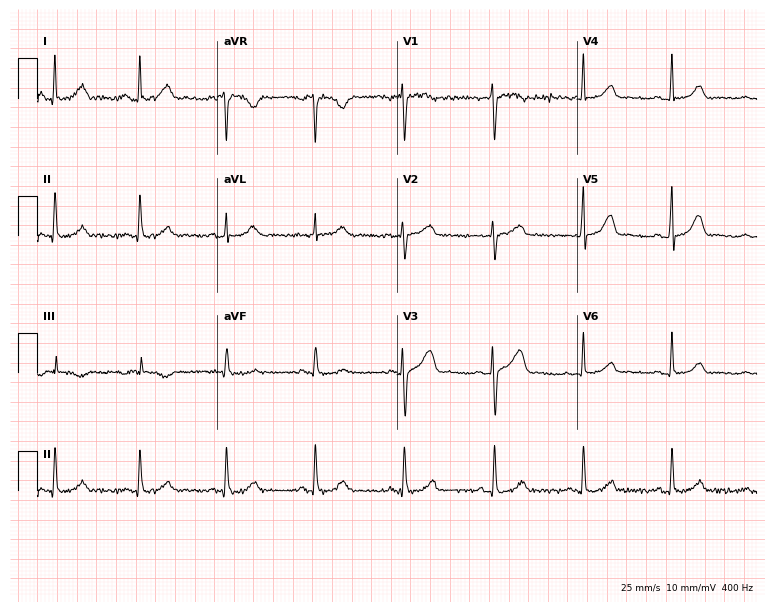
12-lead ECG from a female, 50 years old. Recorded interpretation: within normal limits.